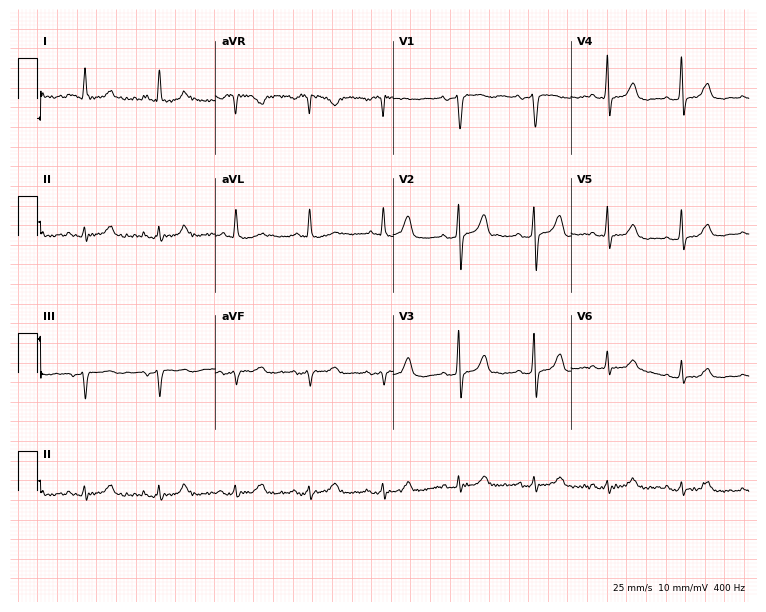
Resting 12-lead electrocardiogram (7.3-second recording at 400 Hz). Patient: a 39-year-old male. None of these six findings is recorded: first-degree AV block, right bundle branch block, left bundle branch block, sinus bradycardia, atrial fibrillation, sinus tachycardia.